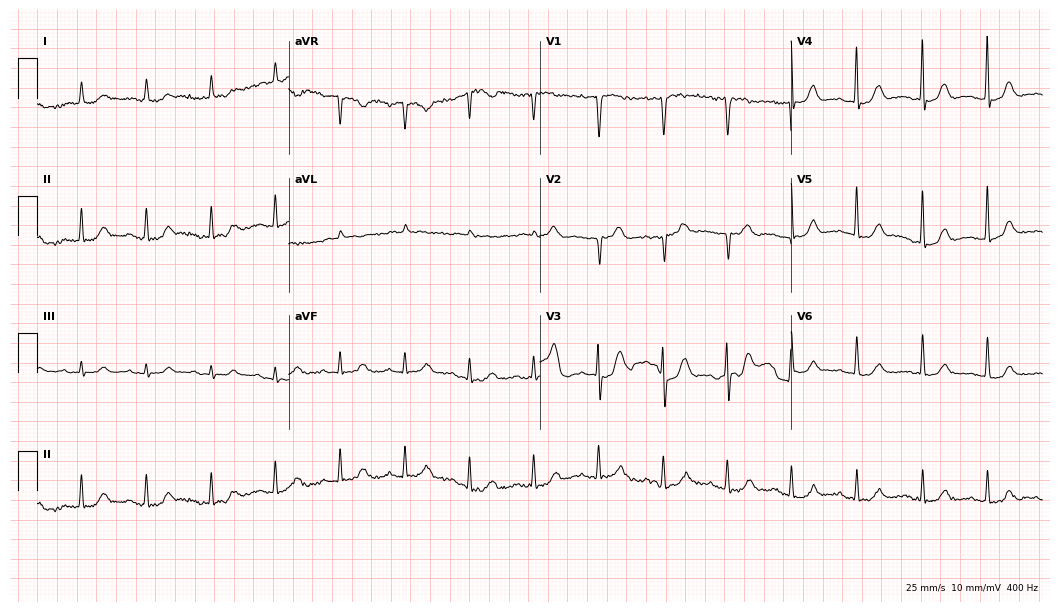
Resting 12-lead electrocardiogram (10.2-second recording at 400 Hz). Patient: an 86-year-old woman. None of these six findings is recorded: first-degree AV block, right bundle branch block, left bundle branch block, sinus bradycardia, atrial fibrillation, sinus tachycardia.